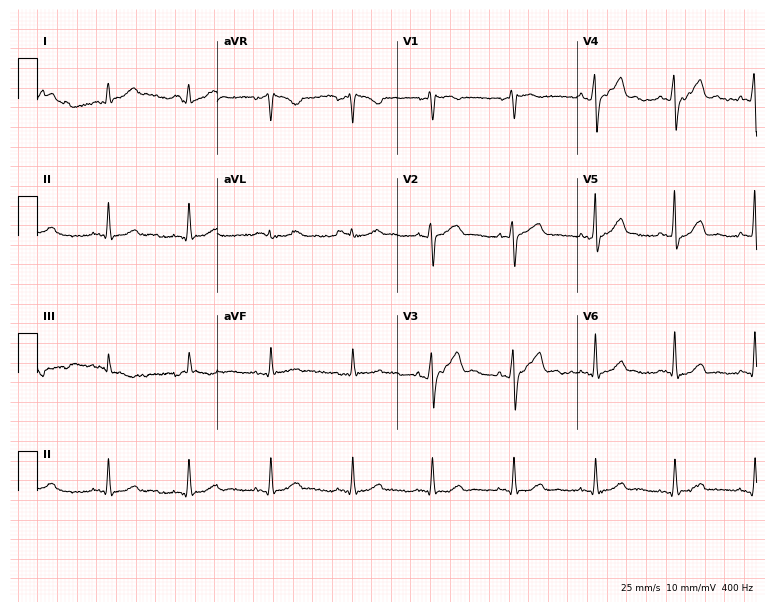
12-lead ECG from a male, 60 years old. Recorded interpretation: within normal limits.